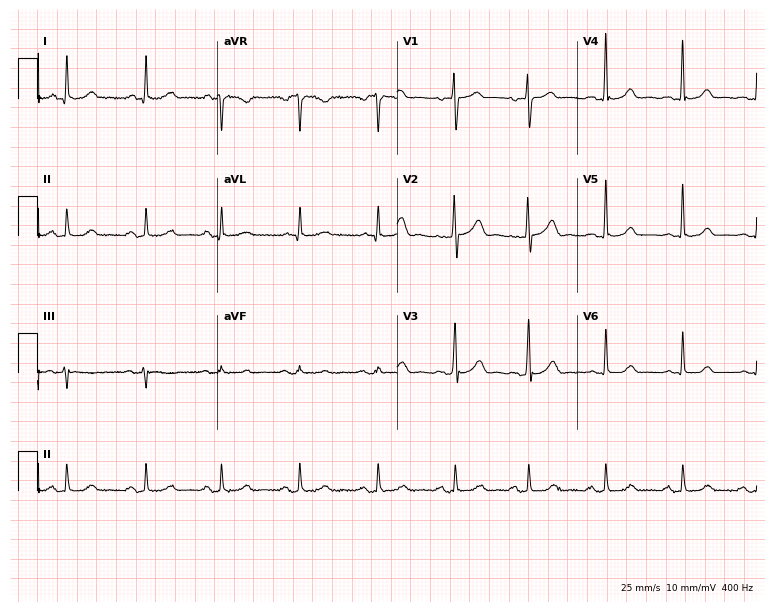
Standard 12-lead ECG recorded from a 42-year-old woman (7.3-second recording at 400 Hz). None of these six findings is recorded: first-degree AV block, right bundle branch block, left bundle branch block, sinus bradycardia, atrial fibrillation, sinus tachycardia.